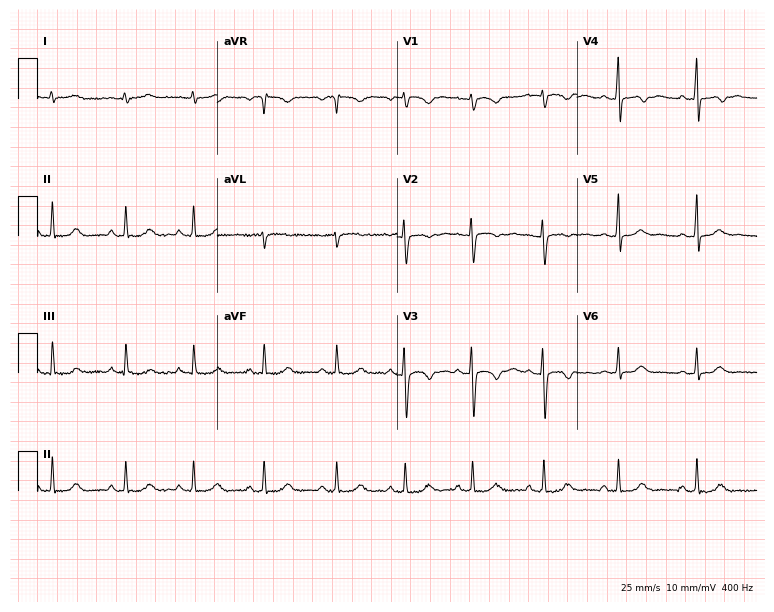
Resting 12-lead electrocardiogram (7.3-second recording at 400 Hz). Patient: a 19-year-old female. Read as a normal ECG.